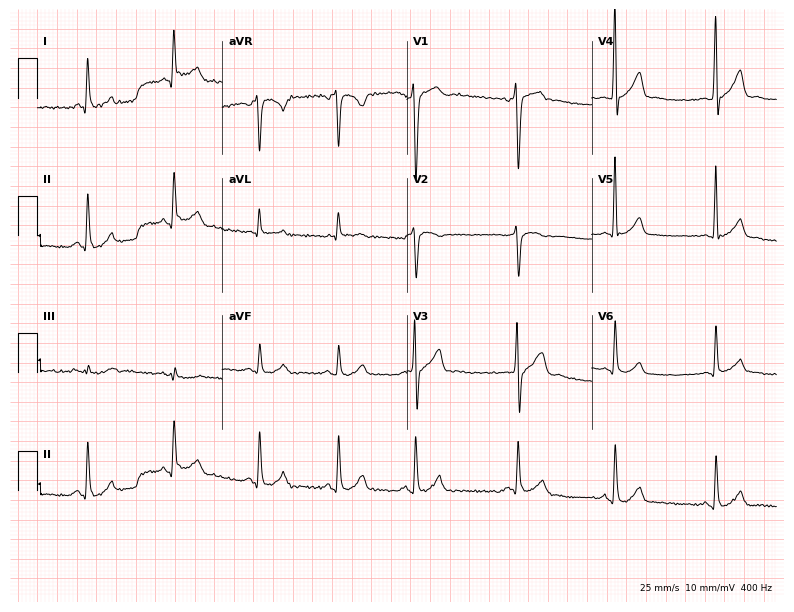
Electrocardiogram (7.5-second recording at 400 Hz), a male patient, 31 years old. Of the six screened findings (first-degree AV block, right bundle branch block, left bundle branch block, sinus bradycardia, atrial fibrillation, sinus tachycardia), none is recorded.